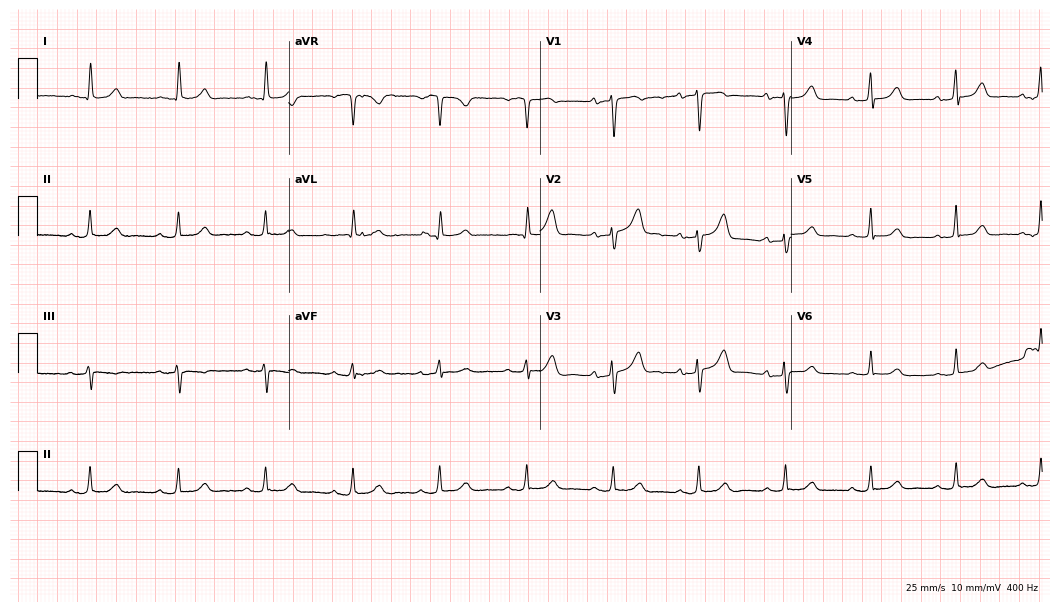
Resting 12-lead electrocardiogram (10.2-second recording at 400 Hz). Patient: a female, 73 years old. Read as a normal ECG.